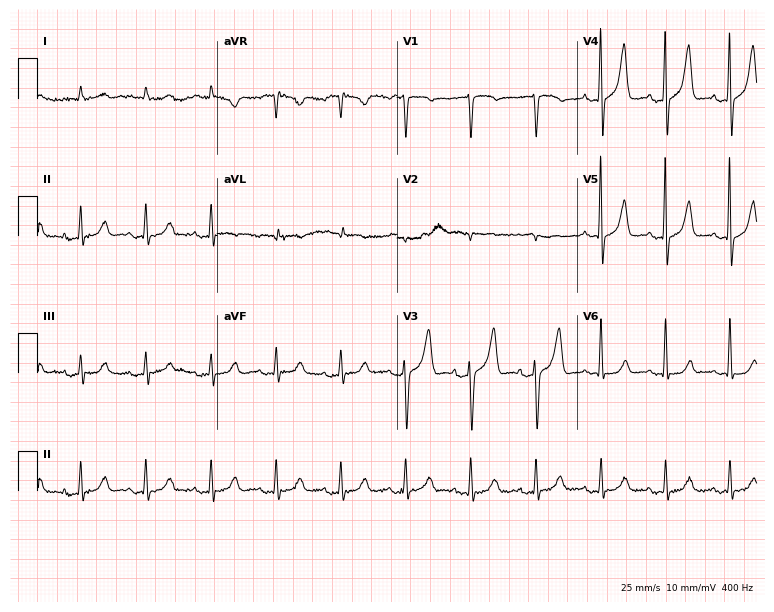
Resting 12-lead electrocardiogram (7.3-second recording at 400 Hz). Patient: a female, 78 years old. None of these six findings is recorded: first-degree AV block, right bundle branch block (RBBB), left bundle branch block (LBBB), sinus bradycardia, atrial fibrillation (AF), sinus tachycardia.